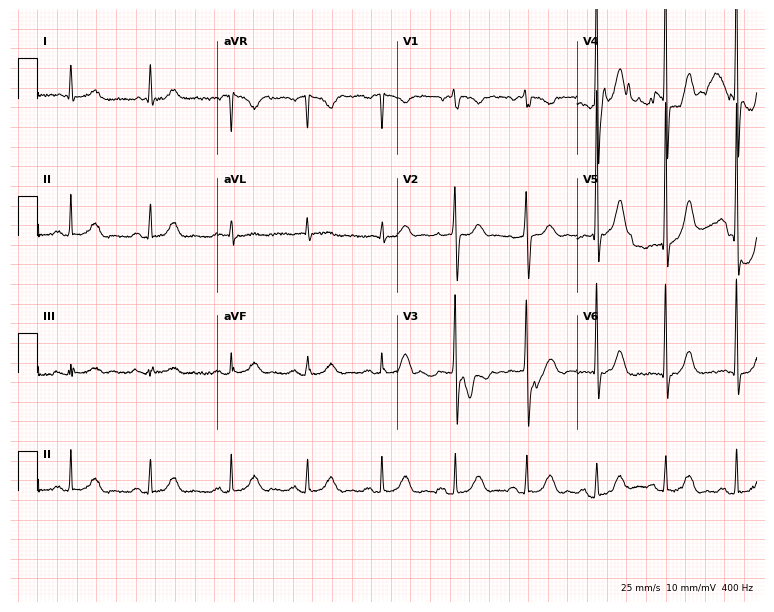
12-lead ECG from an 85-year-old male. Recorded interpretation: within normal limits.